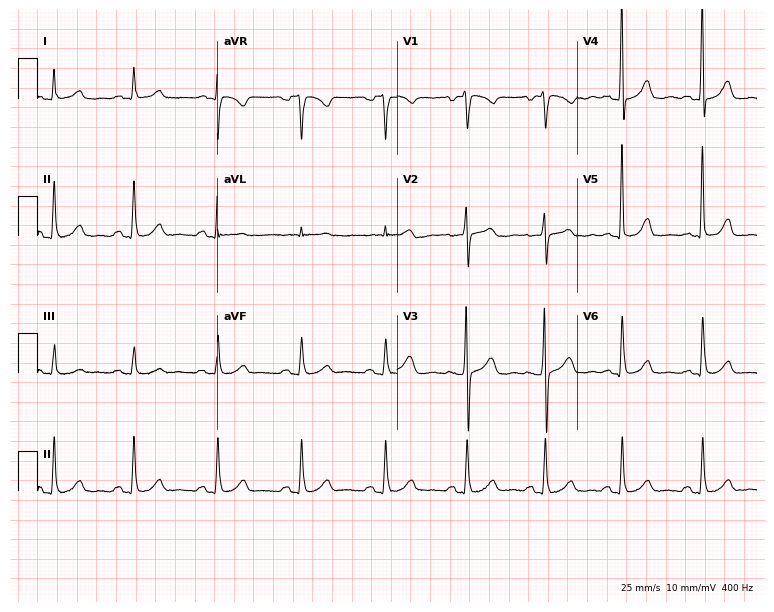
Electrocardiogram (7.3-second recording at 400 Hz), a 62-year-old female. Overall reading on record: normal ECG.